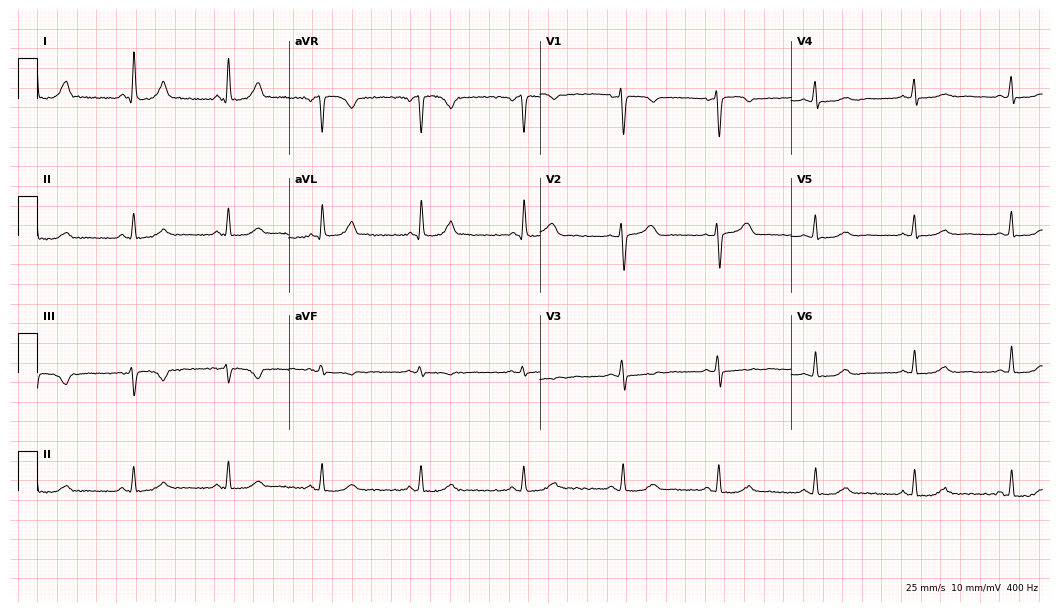
Resting 12-lead electrocardiogram (10.2-second recording at 400 Hz). Patient: a female, 52 years old. Read as a normal ECG.